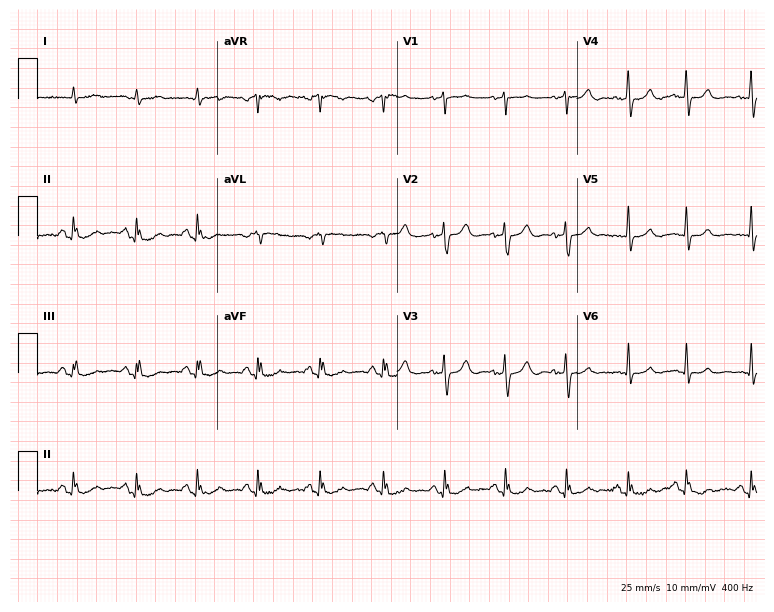
Standard 12-lead ECG recorded from a 70-year-old male patient. Read as a normal ECG.